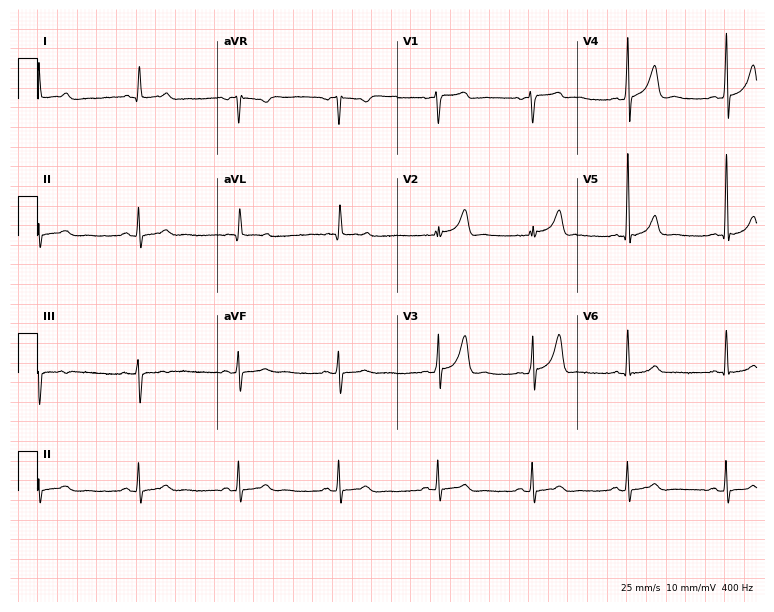
Resting 12-lead electrocardiogram (7.3-second recording at 400 Hz). Patient: a male, 76 years old. Read as a normal ECG.